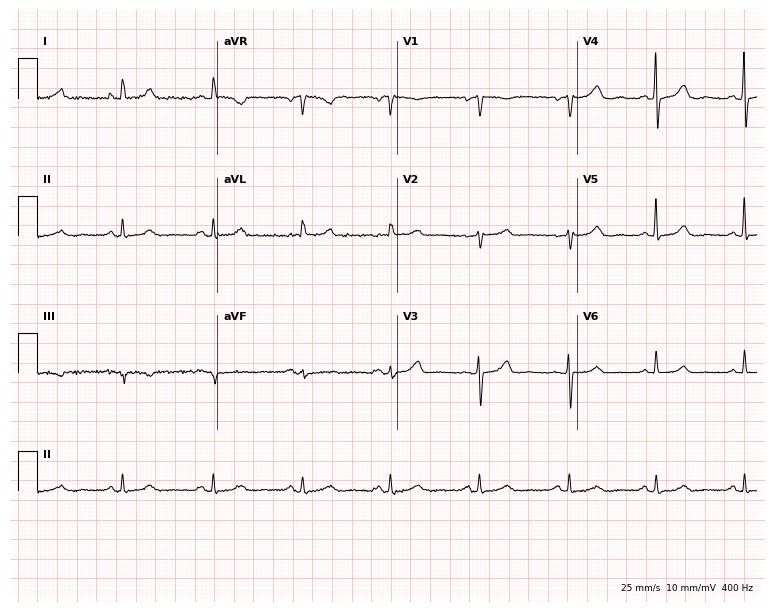
Standard 12-lead ECG recorded from a 62-year-old female patient. Read as a normal ECG.